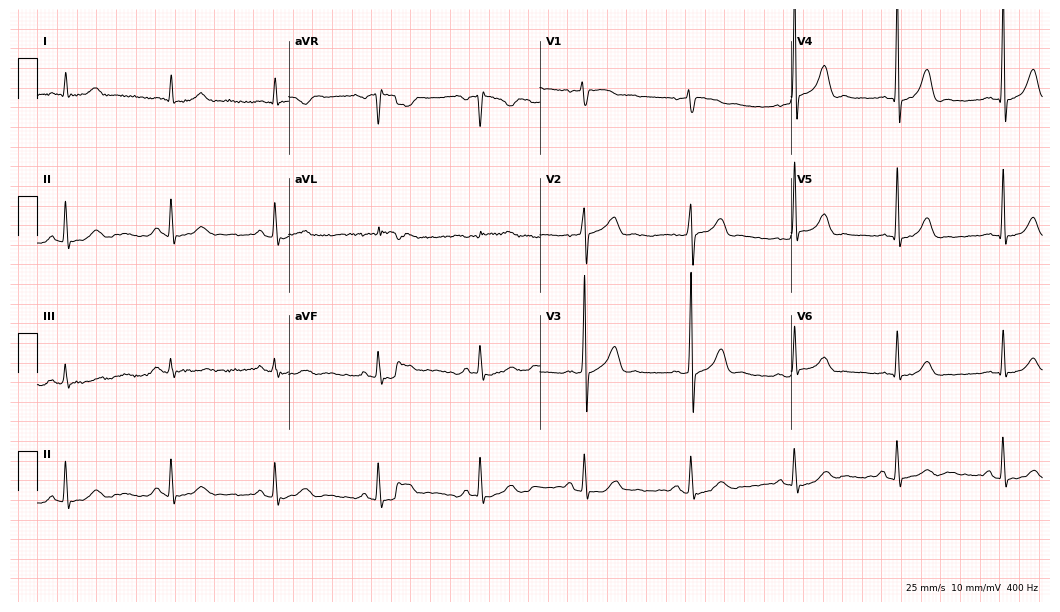
Electrocardiogram, a 62-year-old man. Overall reading on record: normal ECG.